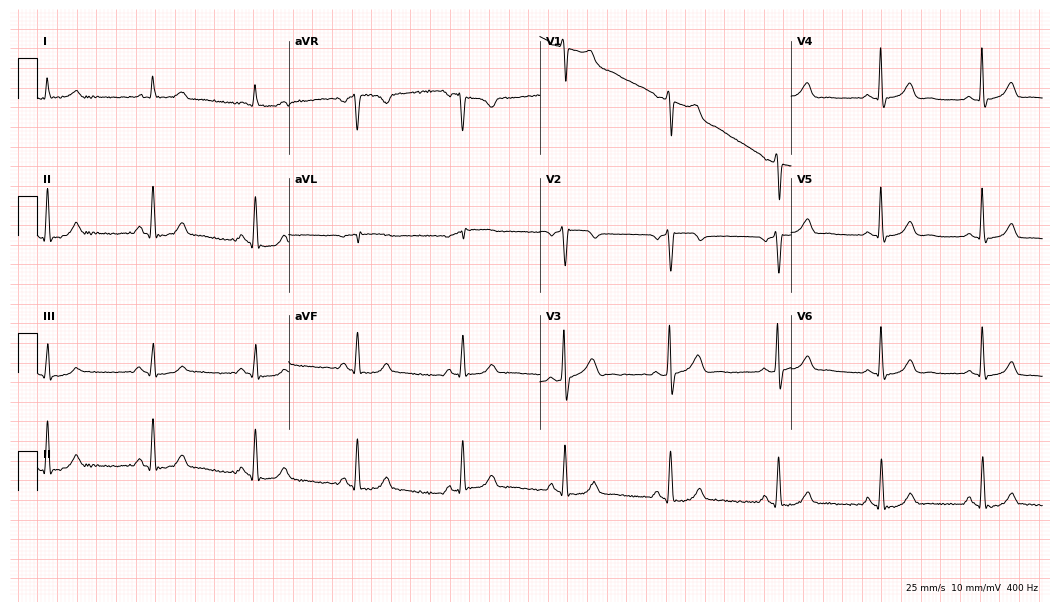
12-lead ECG from a 54-year-old male (10.2-second recording at 400 Hz). Recorded interpretation: within normal limits.